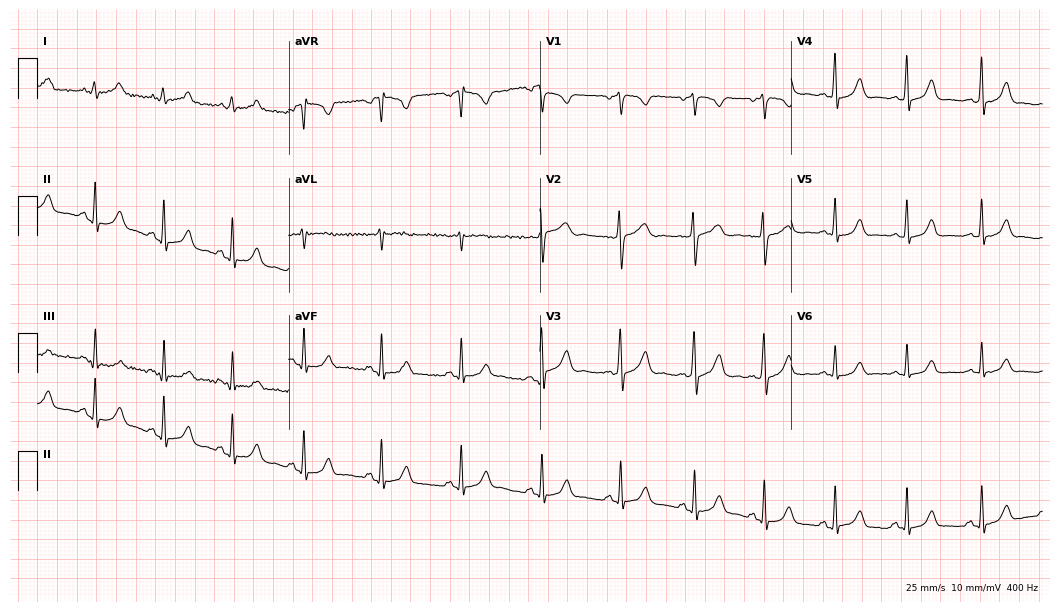
Standard 12-lead ECG recorded from a female patient, 35 years old (10.2-second recording at 400 Hz). Read as a normal ECG.